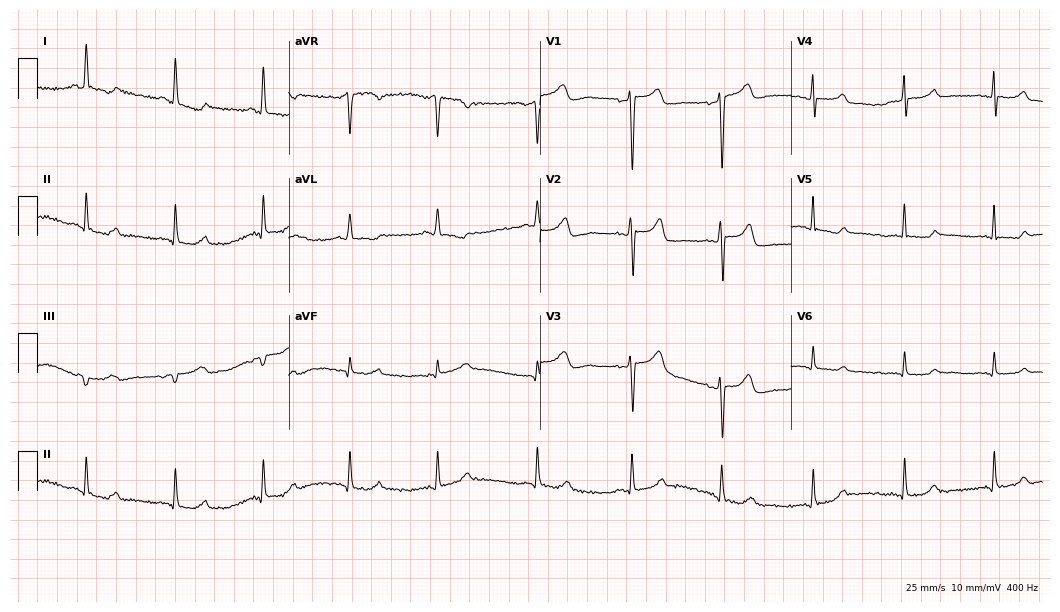
Electrocardiogram, a female, 74 years old. Overall reading on record: normal ECG.